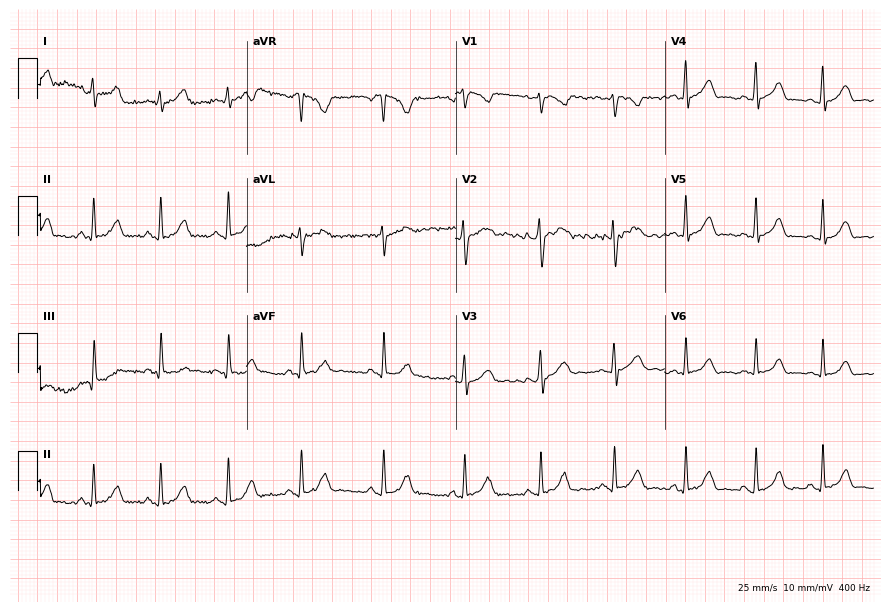
Resting 12-lead electrocardiogram. Patient: a 23-year-old female. Read as a normal ECG.